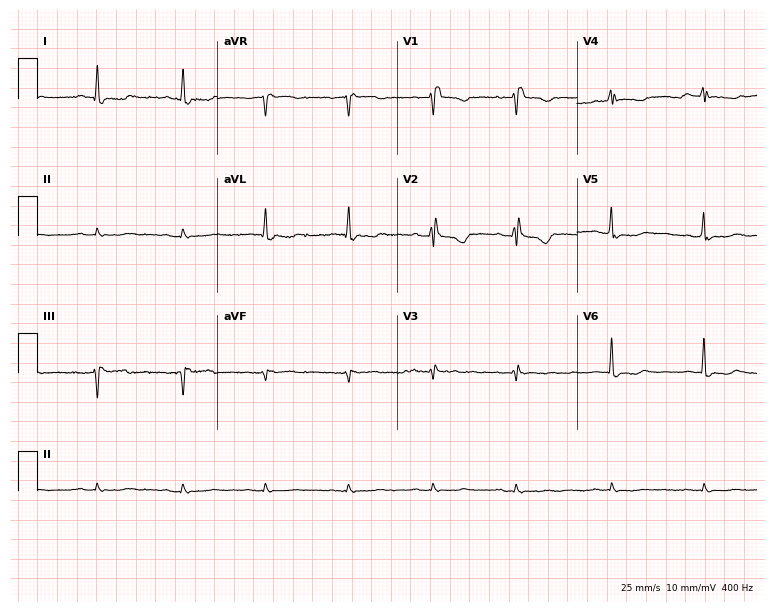
Resting 12-lead electrocardiogram (7.3-second recording at 400 Hz). Patient: a man, 61 years old. None of these six findings is recorded: first-degree AV block, right bundle branch block, left bundle branch block, sinus bradycardia, atrial fibrillation, sinus tachycardia.